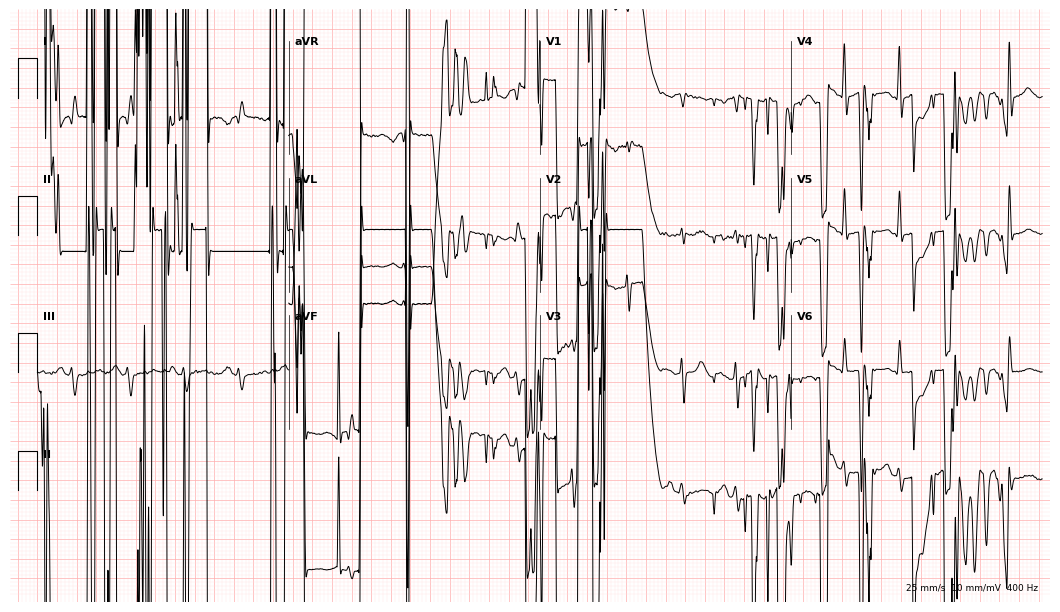
Resting 12-lead electrocardiogram. Patient: a male, 64 years old. None of these six findings is recorded: first-degree AV block, right bundle branch block, left bundle branch block, sinus bradycardia, atrial fibrillation, sinus tachycardia. Other findings, if any, are not listed.